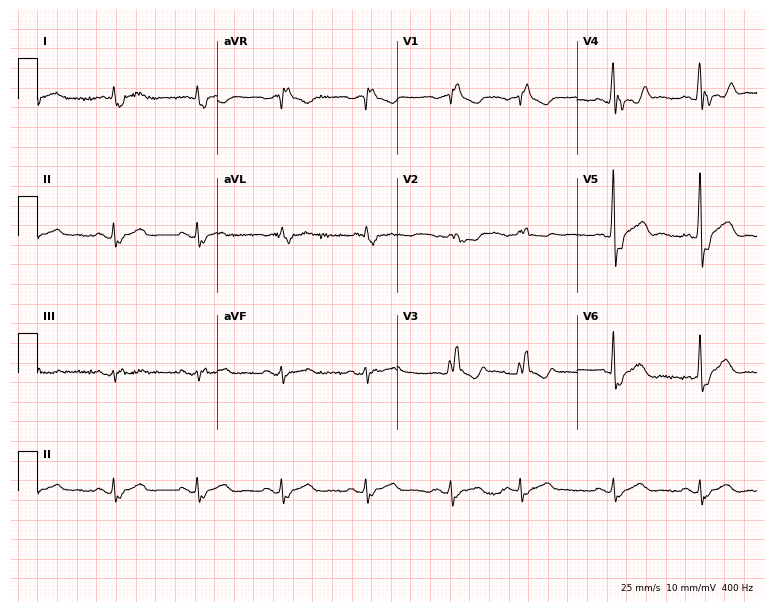
Standard 12-lead ECG recorded from a 77-year-old female patient. The tracing shows right bundle branch block.